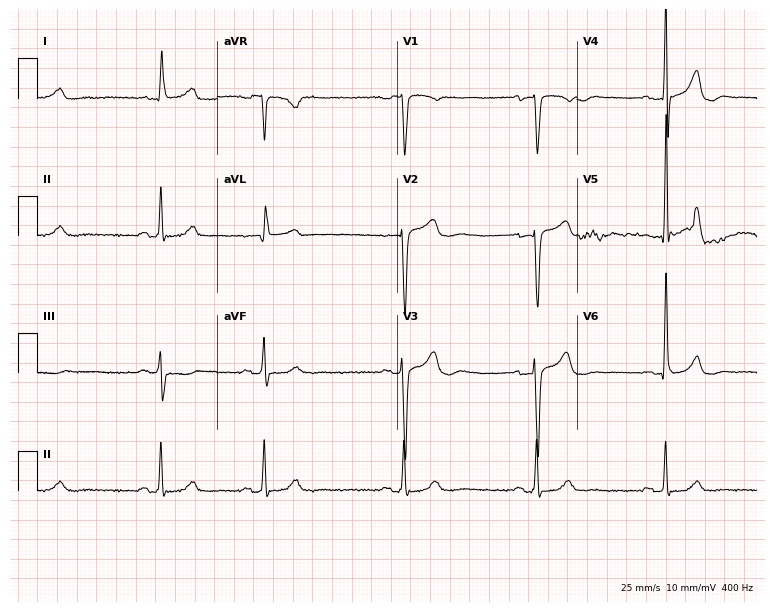
Standard 12-lead ECG recorded from an 82-year-old man. None of these six findings is recorded: first-degree AV block, right bundle branch block (RBBB), left bundle branch block (LBBB), sinus bradycardia, atrial fibrillation (AF), sinus tachycardia. Other findings, if any, are not listed.